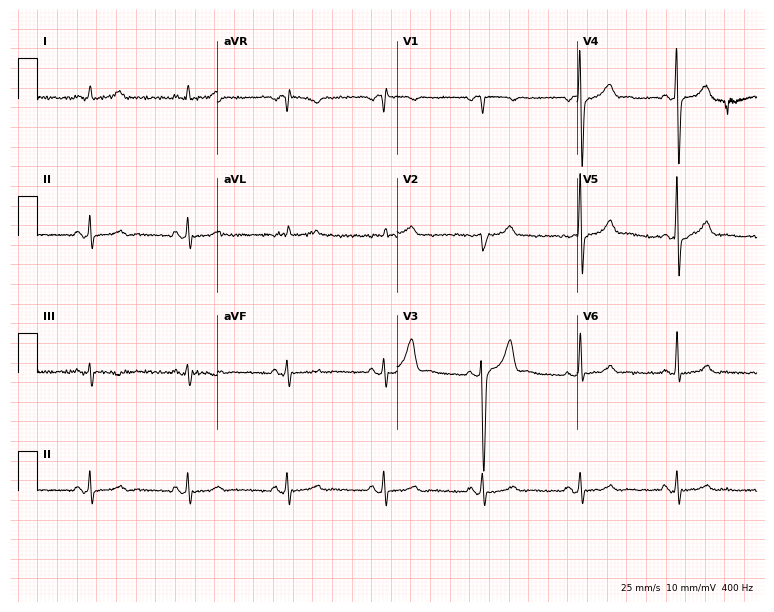
12-lead ECG from a male, 71 years old. No first-degree AV block, right bundle branch block, left bundle branch block, sinus bradycardia, atrial fibrillation or sinus tachycardia recorded for this tracing.